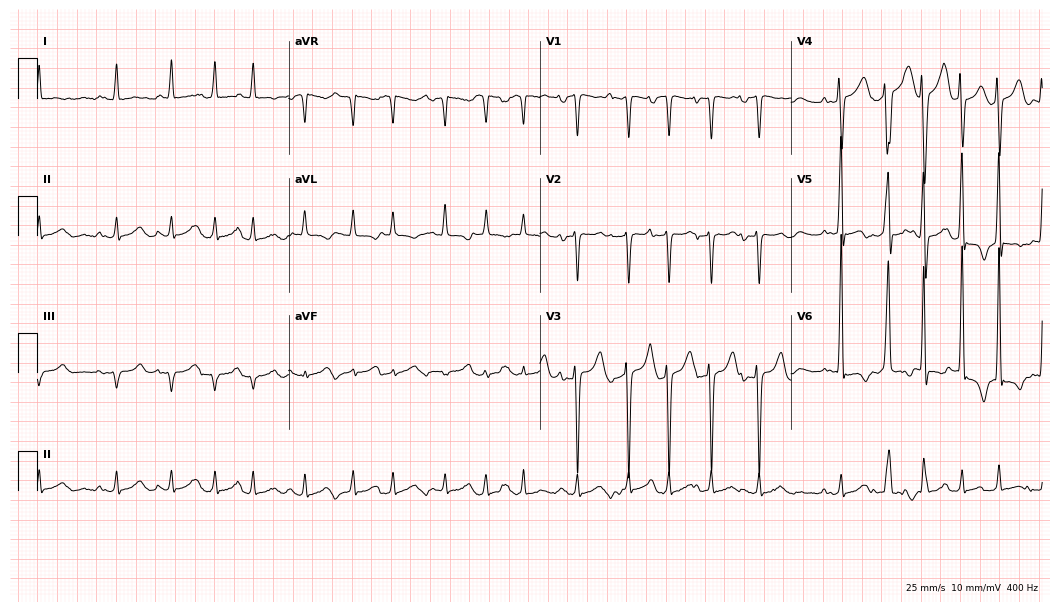
12-lead ECG from a 79-year-old male patient. No first-degree AV block, right bundle branch block, left bundle branch block, sinus bradycardia, atrial fibrillation or sinus tachycardia recorded for this tracing. Only these six findings were labelled.